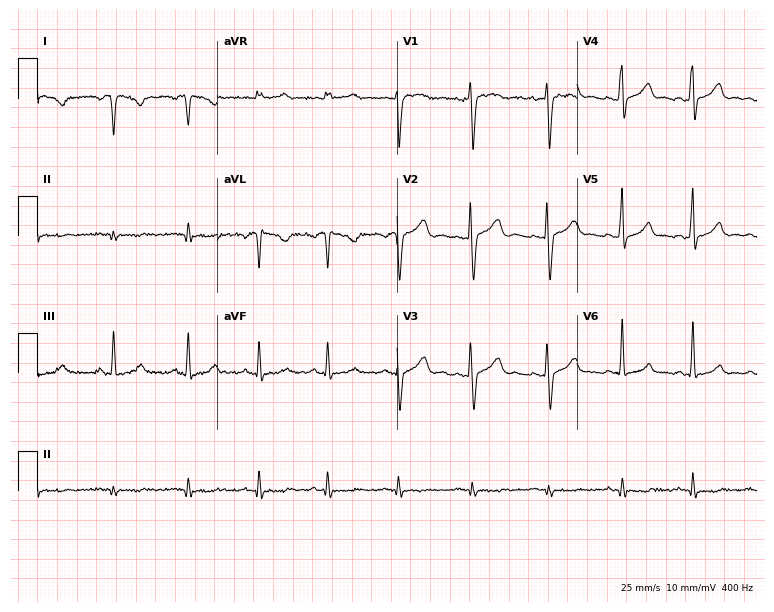
Resting 12-lead electrocardiogram (7.3-second recording at 400 Hz). Patient: a female, 37 years old. None of these six findings is recorded: first-degree AV block, right bundle branch block, left bundle branch block, sinus bradycardia, atrial fibrillation, sinus tachycardia.